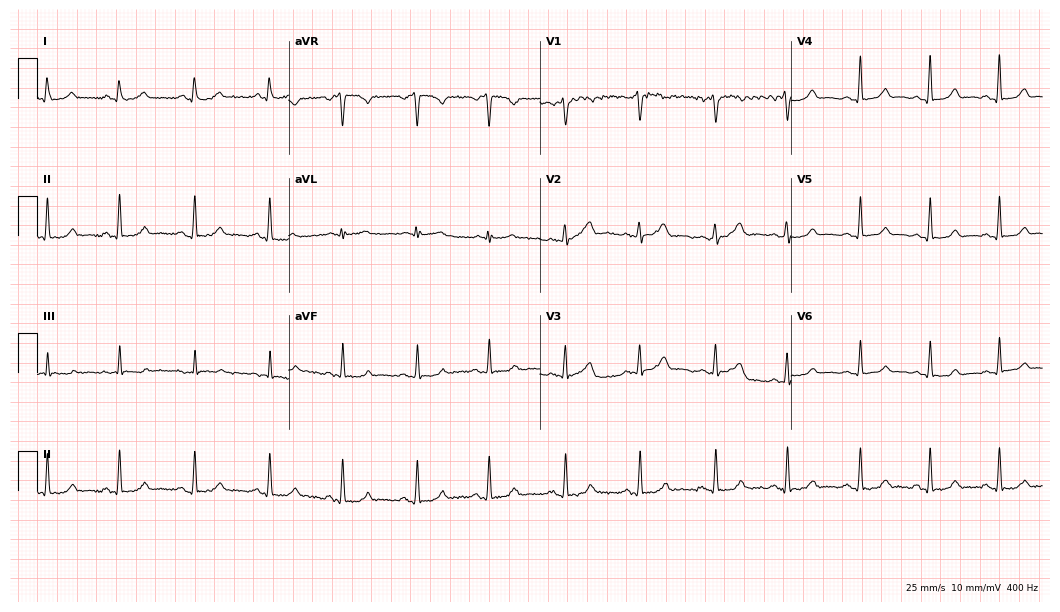
12-lead ECG (10.2-second recording at 400 Hz) from a female, 43 years old. Screened for six findings — first-degree AV block, right bundle branch block, left bundle branch block, sinus bradycardia, atrial fibrillation, sinus tachycardia — none is recorded.